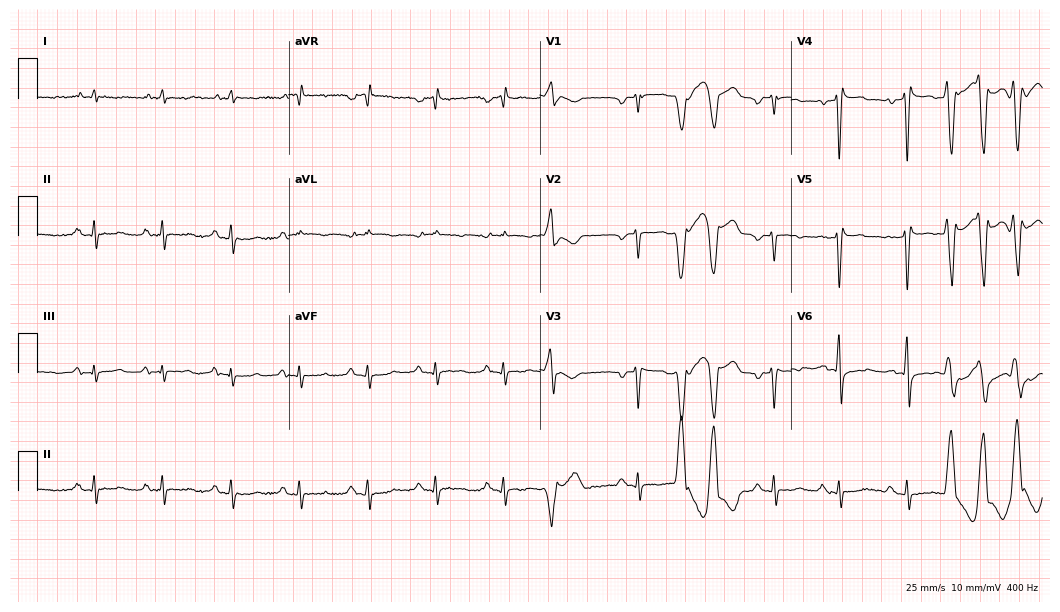
Electrocardiogram (10.2-second recording at 400 Hz), an 80-year-old man. Of the six screened findings (first-degree AV block, right bundle branch block, left bundle branch block, sinus bradycardia, atrial fibrillation, sinus tachycardia), none is recorded. Other findings, if any, are not listed.